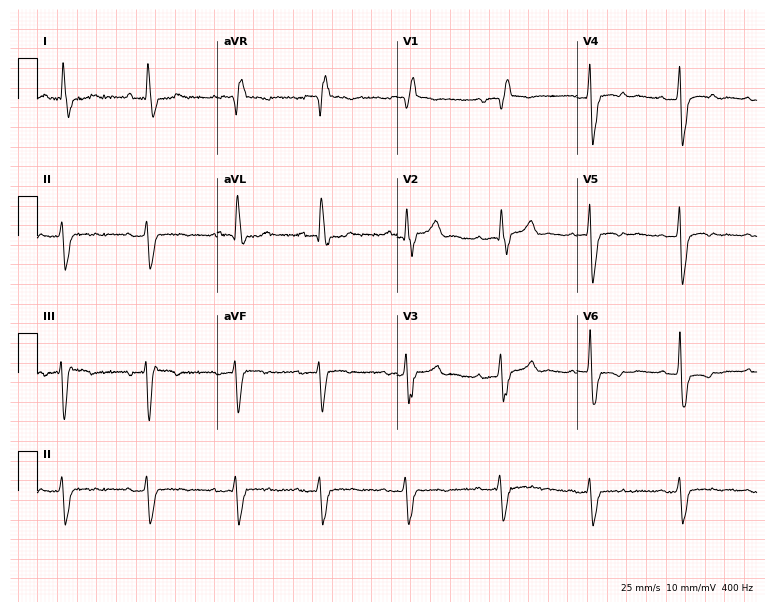
12-lead ECG from a 77-year-old man. Shows right bundle branch block.